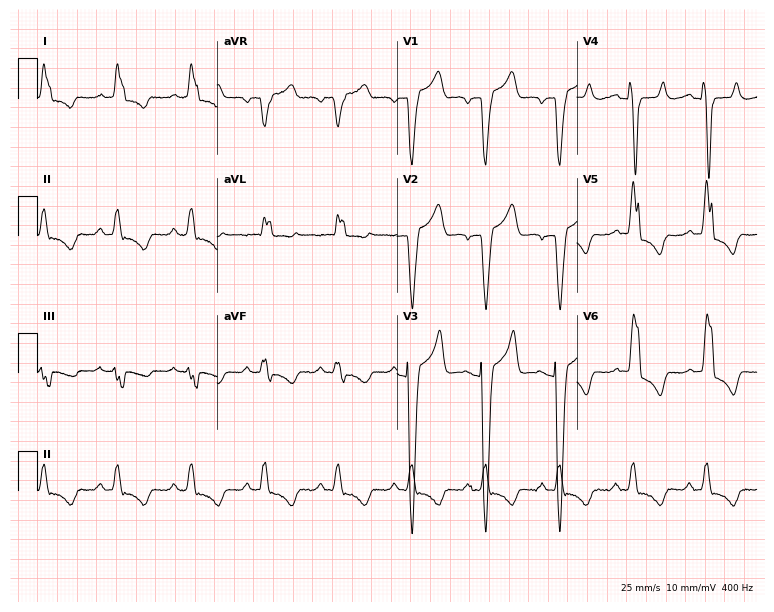
Standard 12-lead ECG recorded from a man, 74 years old. The tracing shows left bundle branch block.